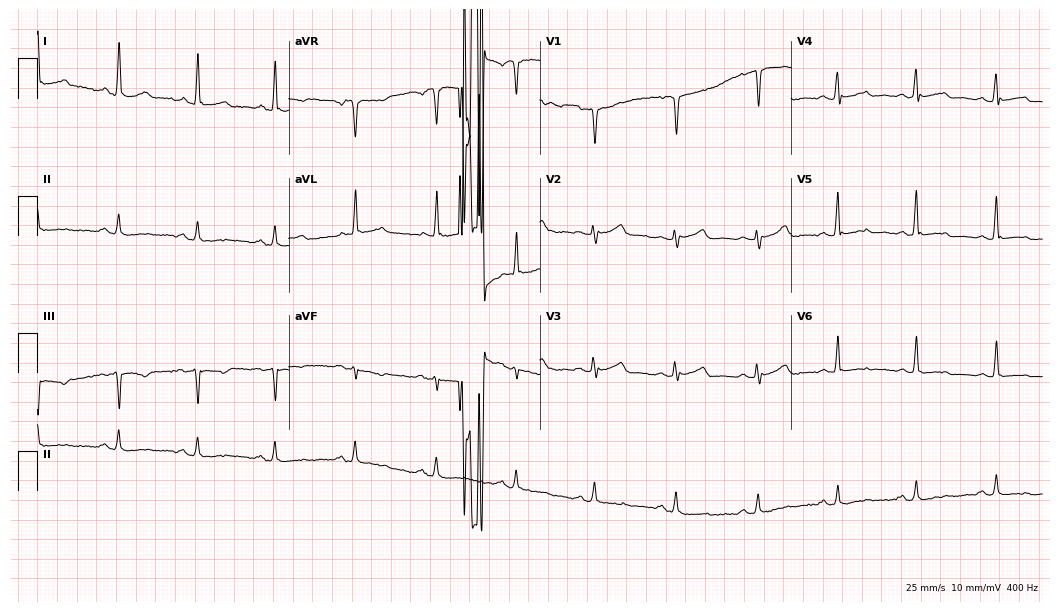
Standard 12-lead ECG recorded from a 65-year-old female patient (10.2-second recording at 400 Hz). None of these six findings is recorded: first-degree AV block, right bundle branch block, left bundle branch block, sinus bradycardia, atrial fibrillation, sinus tachycardia. Other findings, if any, are not listed.